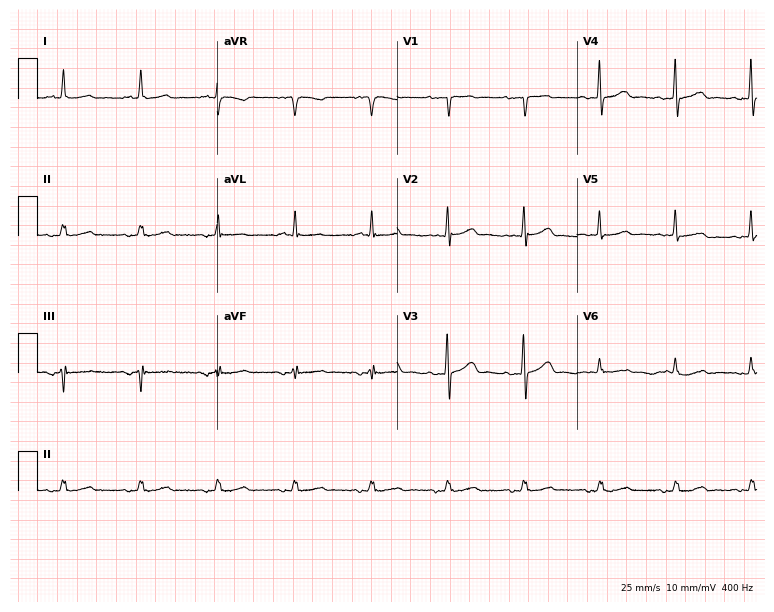
12-lead ECG from an 80-year-old male. Labelled as a normal ECG.